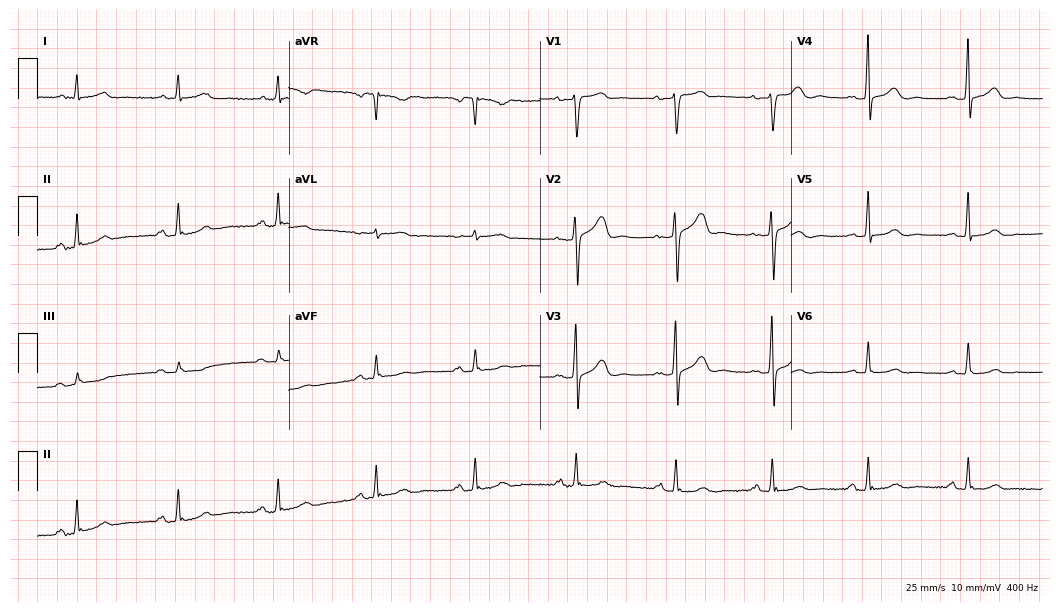
Resting 12-lead electrocardiogram (10.2-second recording at 400 Hz). Patient: a female, 55 years old. None of these six findings is recorded: first-degree AV block, right bundle branch block, left bundle branch block, sinus bradycardia, atrial fibrillation, sinus tachycardia. Only these six findings were labelled.